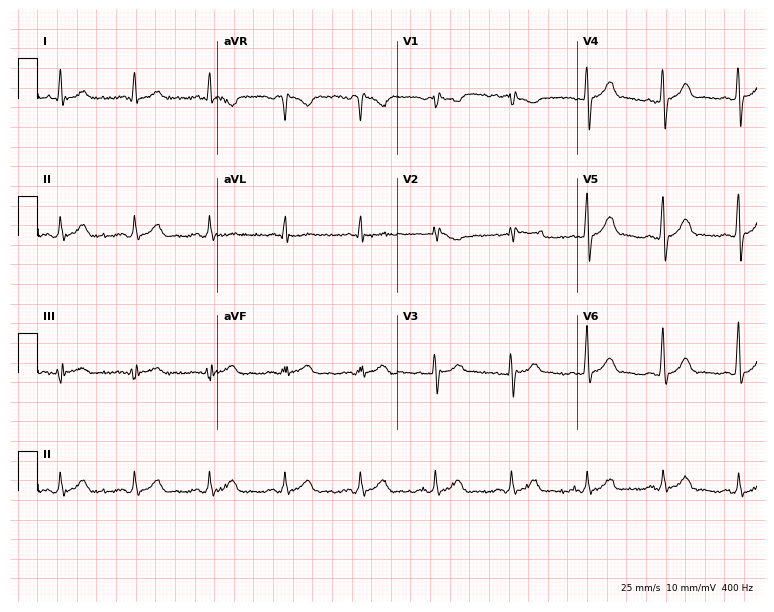
Electrocardiogram, a male, 45 years old. Of the six screened findings (first-degree AV block, right bundle branch block, left bundle branch block, sinus bradycardia, atrial fibrillation, sinus tachycardia), none is recorded. Only these six findings were labelled.